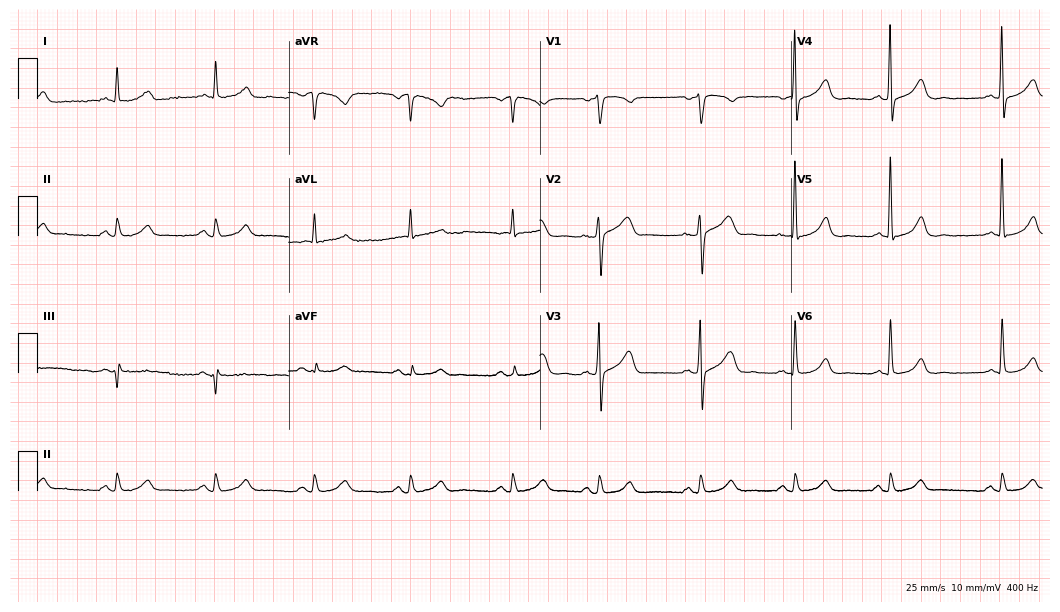
Electrocardiogram (10.2-second recording at 400 Hz), a male patient, 74 years old. Overall reading on record: normal ECG.